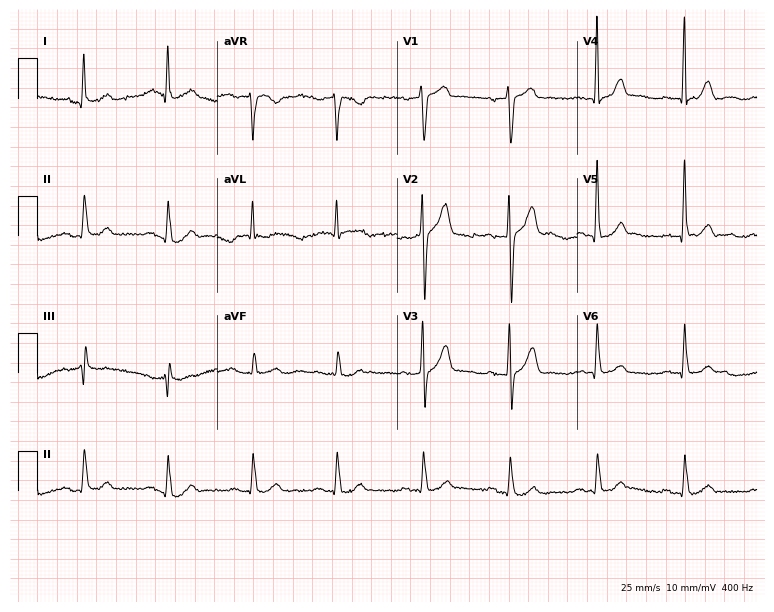
Resting 12-lead electrocardiogram. Patient: a 66-year-old man. None of these six findings is recorded: first-degree AV block, right bundle branch block (RBBB), left bundle branch block (LBBB), sinus bradycardia, atrial fibrillation (AF), sinus tachycardia.